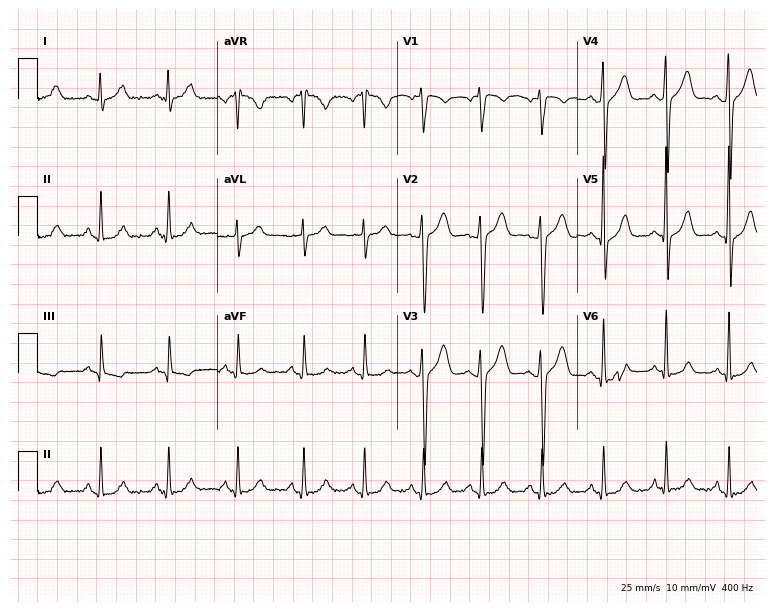
12-lead ECG from a male patient, 36 years old. Labelled as a normal ECG.